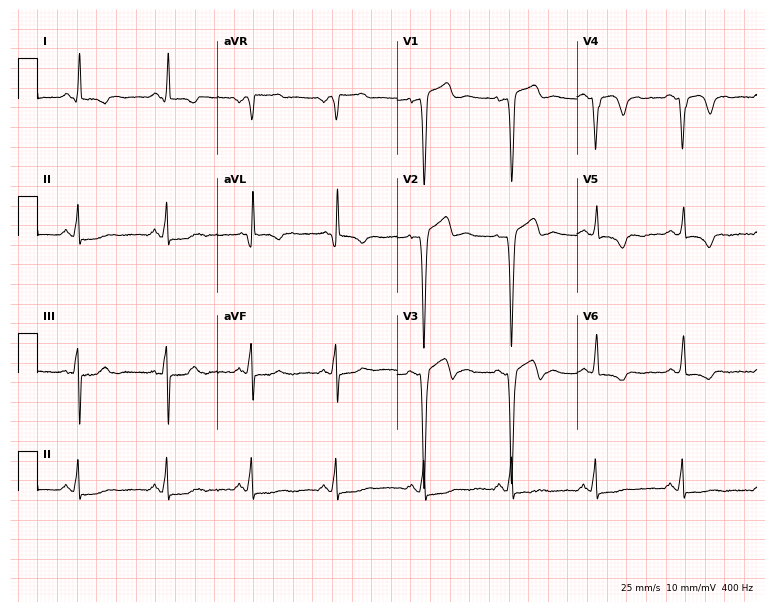
Electrocardiogram (7.3-second recording at 400 Hz), a 60-year-old male. Of the six screened findings (first-degree AV block, right bundle branch block, left bundle branch block, sinus bradycardia, atrial fibrillation, sinus tachycardia), none is recorded. Only these six findings were labelled.